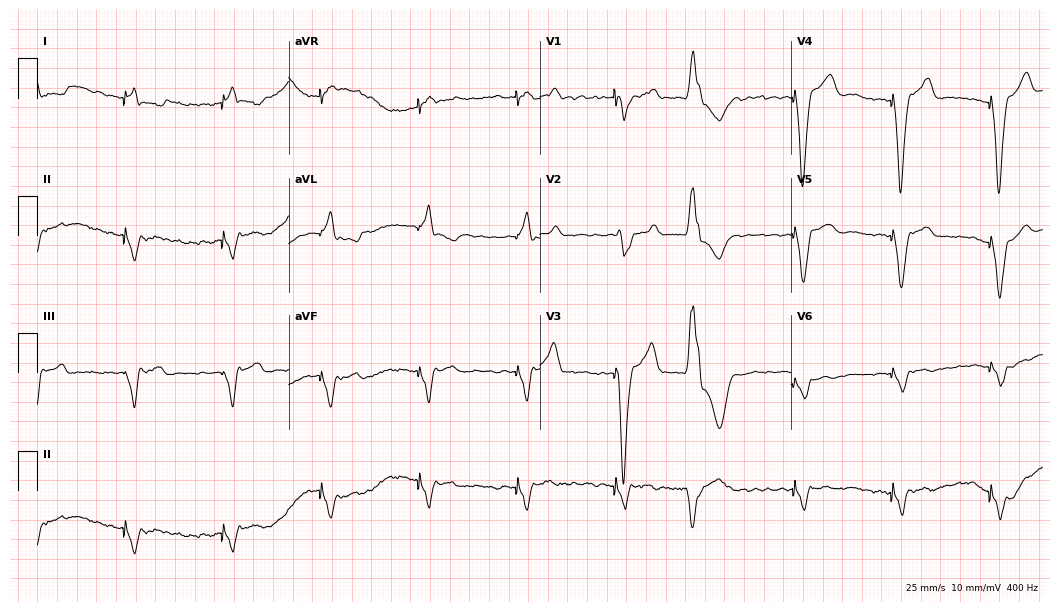
Electrocardiogram (10.2-second recording at 400 Hz), a man, 82 years old. Of the six screened findings (first-degree AV block, right bundle branch block, left bundle branch block, sinus bradycardia, atrial fibrillation, sinus tachycardia), none is recorded.